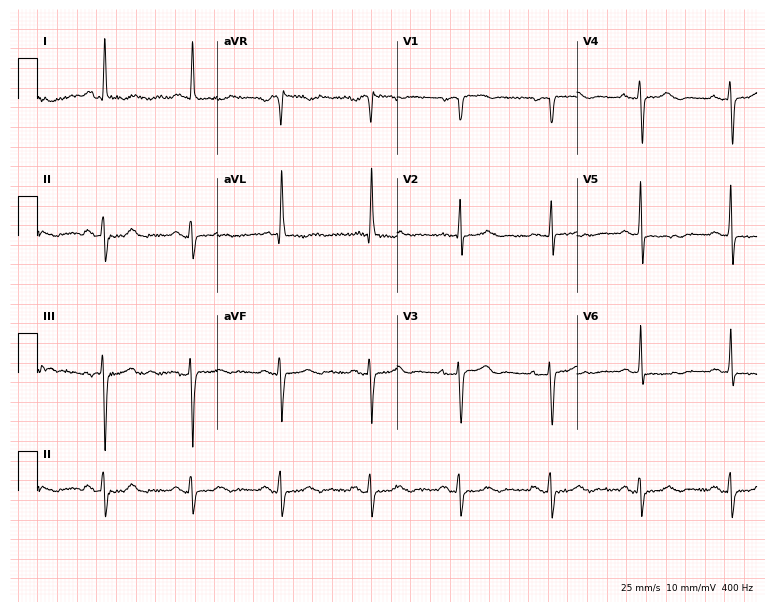
ECG (7.3-second recording at 400 Hz) — an 82-year-old female patient. Screened for six findings — first-degree AV block, right bundle branch block (RBBB), left bundle branch block (LBBB), sinus bradycardia, atrial fibrillation (AF), sinus tachycardia — none is recorded.